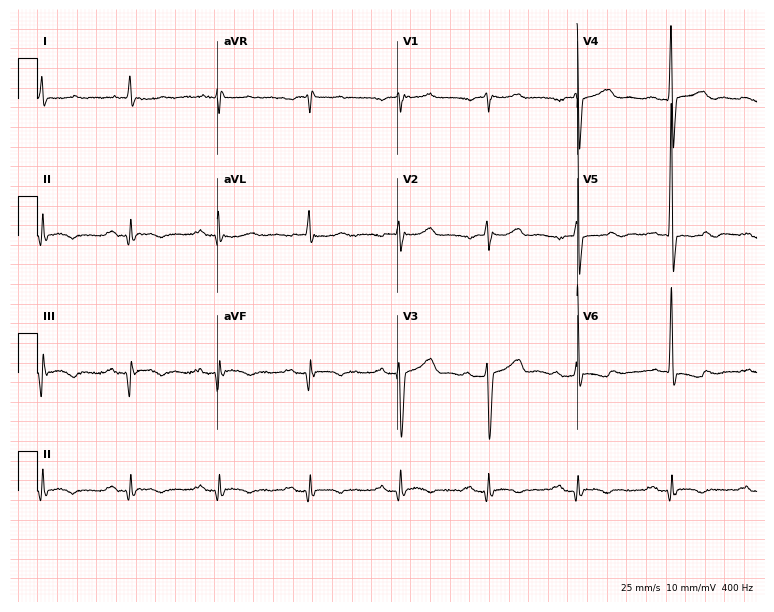
Electrocardiogram (7.3-second recording at 400 Hz), a male, 78 years old. Of the six screened findings (first-degree AV block, right bundle branch block, left bundle branch block, sinus bradycardia, atrial fibrillation, sinus tachycardia), none is recorded. Only these six findings were labelled.